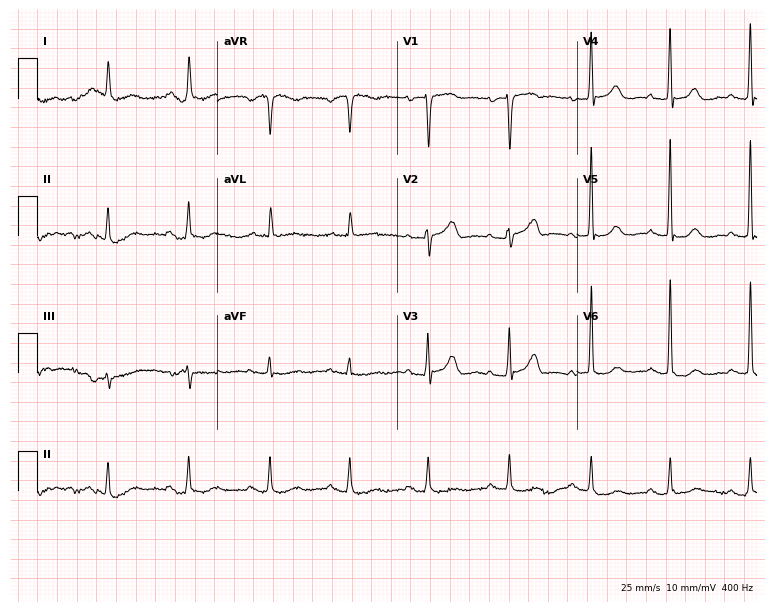
12-lead ECG from a female, 83 years old. No first-degree AV block, right bundle branch block (RBBB), left bundle branch block (LBBB), sinus bradycardia, atrial fibrillation (AF) or sinus tachycardia recorded for this tracing.